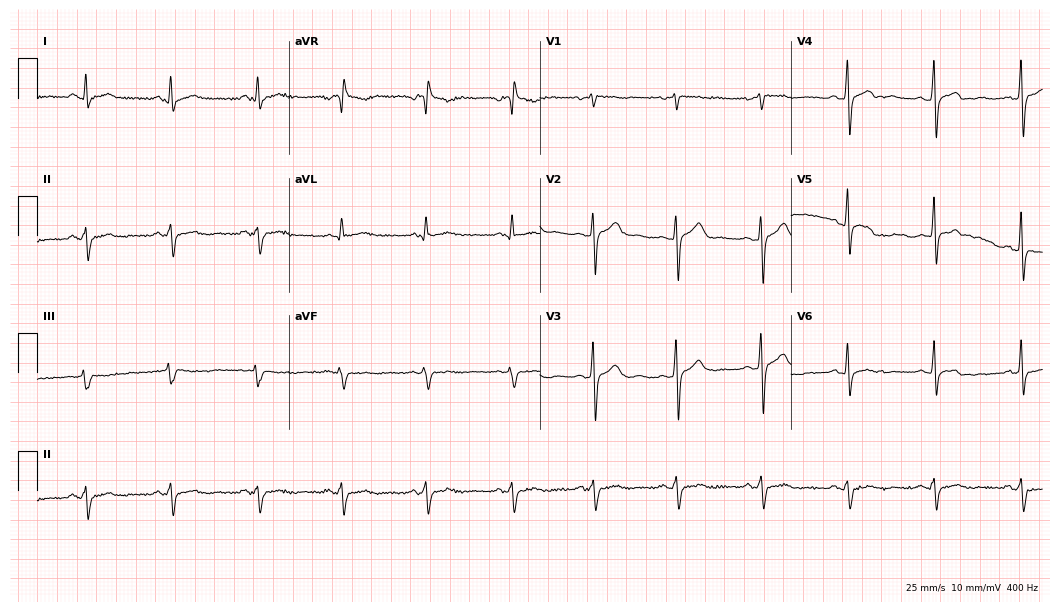
12-lead ECG from a man, 45 years old. No first-degree AV block, right bundle branch block (RBBB), left bundle branch block (LBBB), sinus bradycardia, atrial fibrillation (AF) or sinus tachycardia recorded for this tracing.